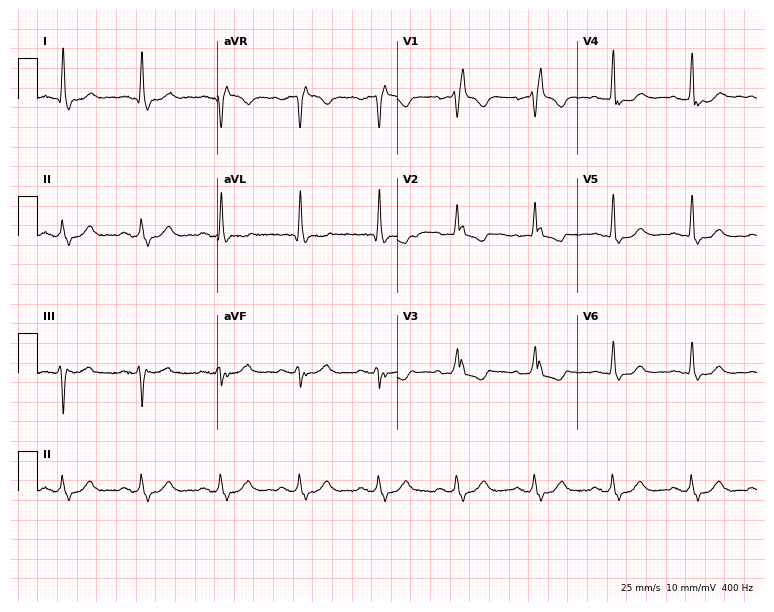
ECG — a female, 78 years old. Findings include right bundle branch block (RBBB).